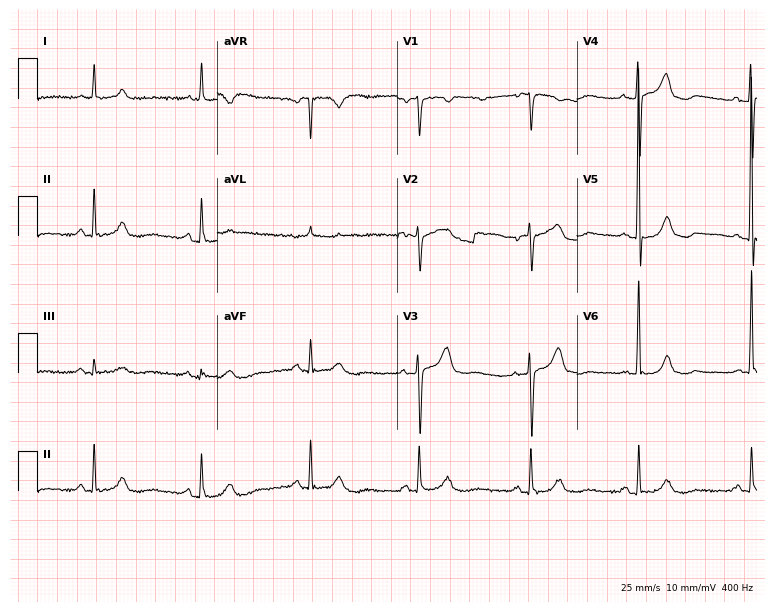
Resting 12-lead electrocardiogram (7.3-second recording at 400 Hz). Patient: an 81-year-old female. None of these six findings is recorded: first-degree AV block, right bundle branch block, left bundle branch block, sinus bradycardia, atrial fibrillation, sinus tachycardia. Only these six findings were labelled.